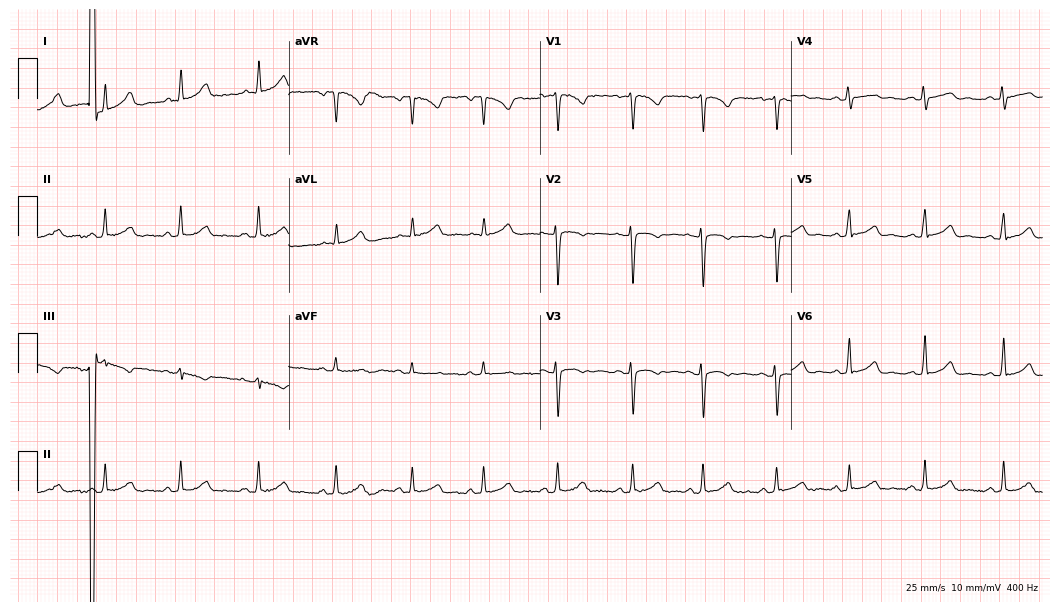
Electrocardiogram, a female, 38 years old. Of the six screened findings (first-degree AV block, right bundle branch block, left bundle branch block, sinus bradycardia, atrial fibrillation, sinus tachycardia), none is recorded.